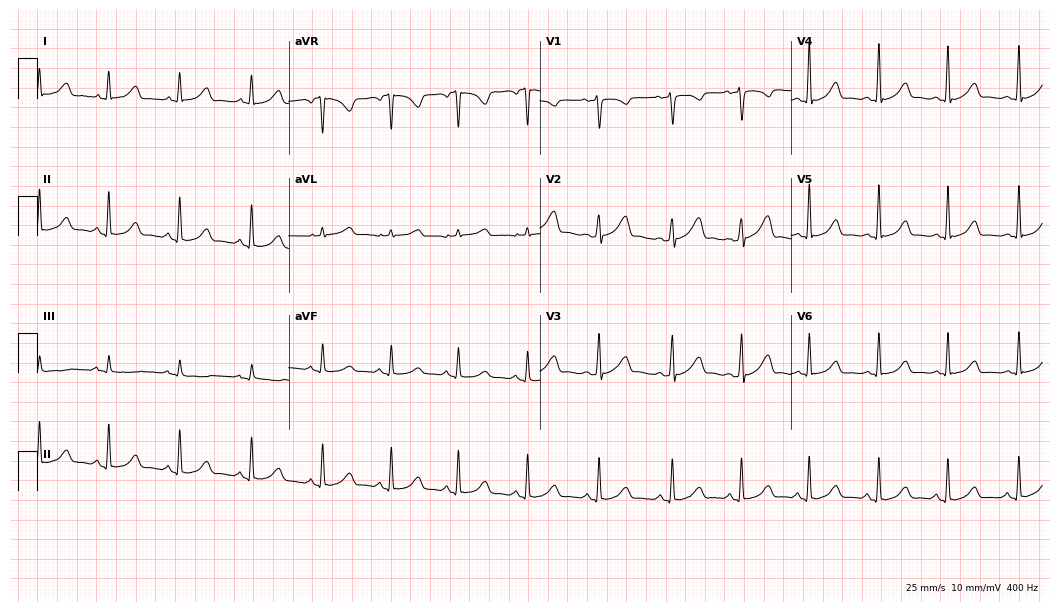
12-lead ECG from a man, 41 years old. Recorded interpretation: within normal limits.